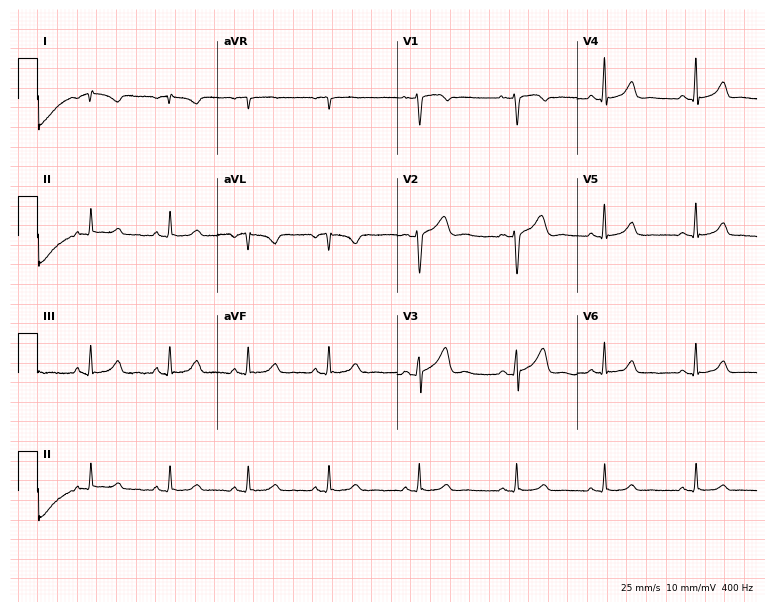
12-lead ECG from a 40-year-old female patient. No first-degree AV block, right bundle branch block, left bundle branch block, sinus bradycardia, atrial fibrillation or sinus tachycardia recorded for this tracing. Other findings, if any, are not listed.